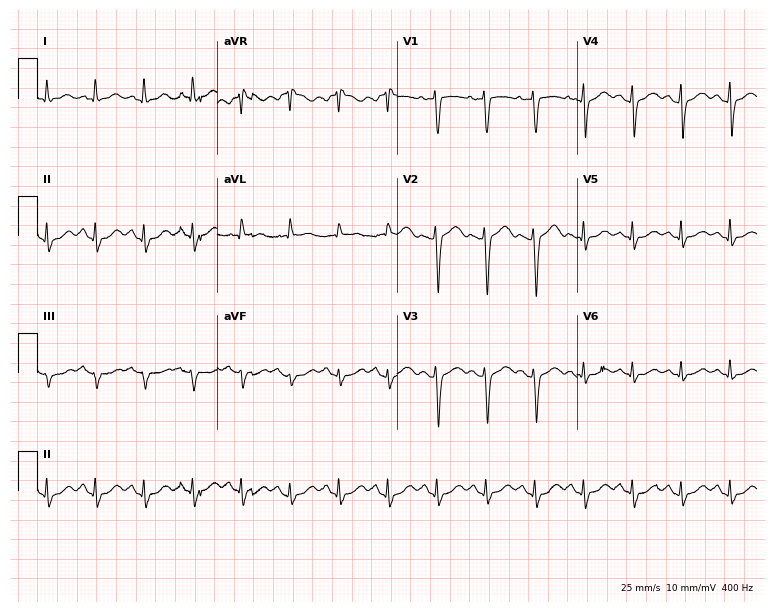
Electrocardiogram, a 48-year-old female. Of the six screened findings (first-degree AV block, right bundle branch block, left bundle branch block, sinus bradycardia, atrial fibrillation, sinus tachycardia), none is recorded. Findings outside these six are not listed.